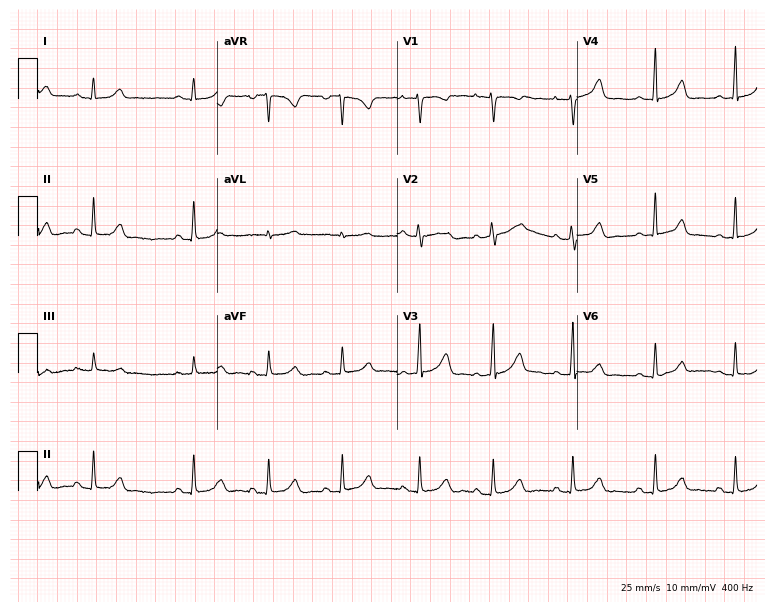
12-lead ECG from a woman, 20 years old. Labelled as a normal ECG.